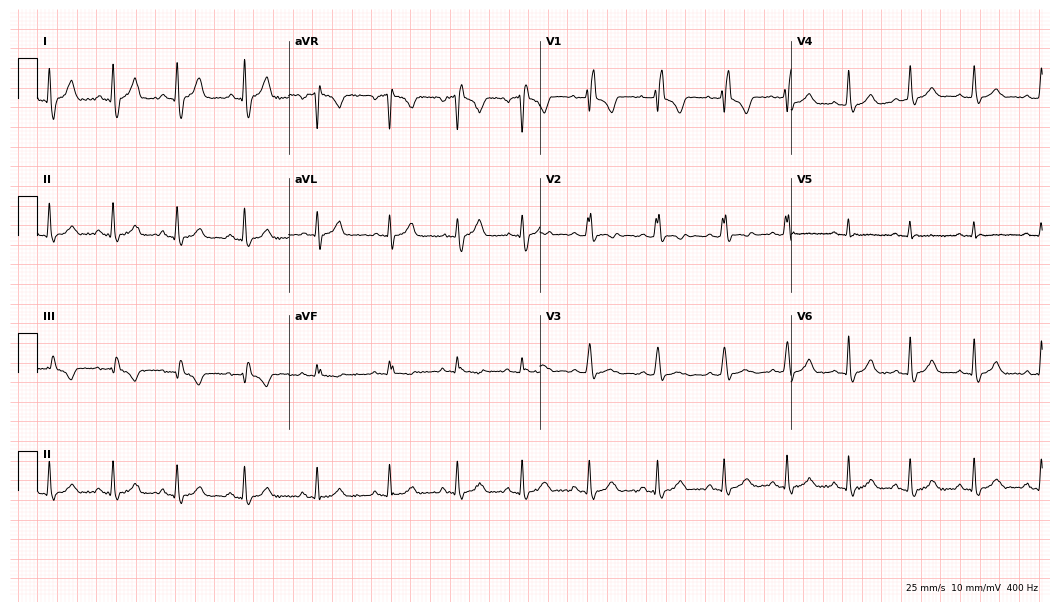
12-lead ECG from a 27-year-old female. No first-degree AV block, right bundle branch block (RBBB), left bundle branch block (LBBB), sinus bradycardia, atrial fibrillation (AF) or sinus tachycardia recorded for this tracing.